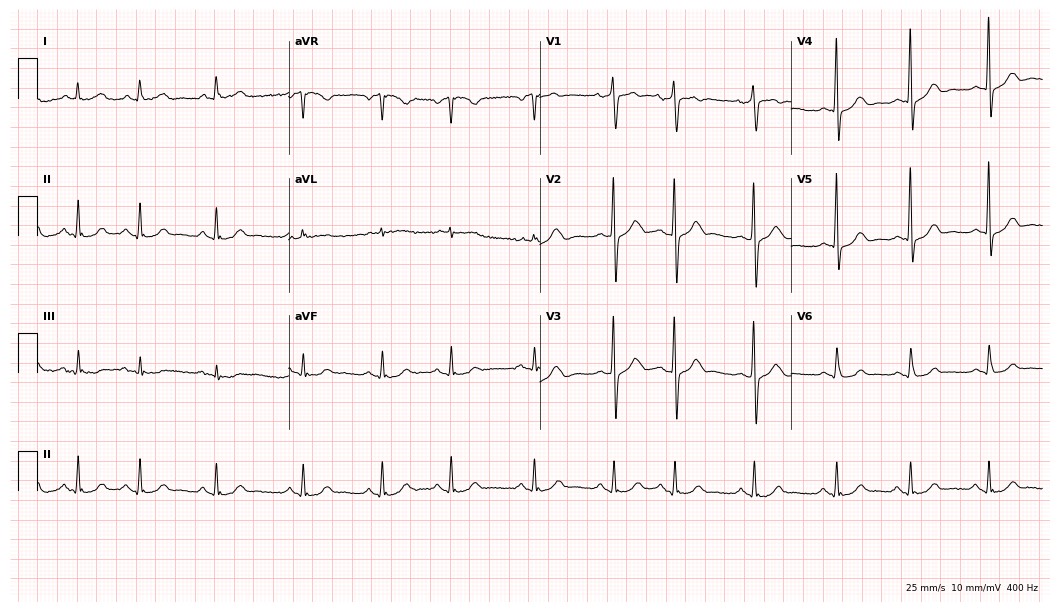
Resting 12-lead electrocardiogram (10.2-second recording at 400 Hz). Patient: an 80-year-old man. Read as a normal ECG.